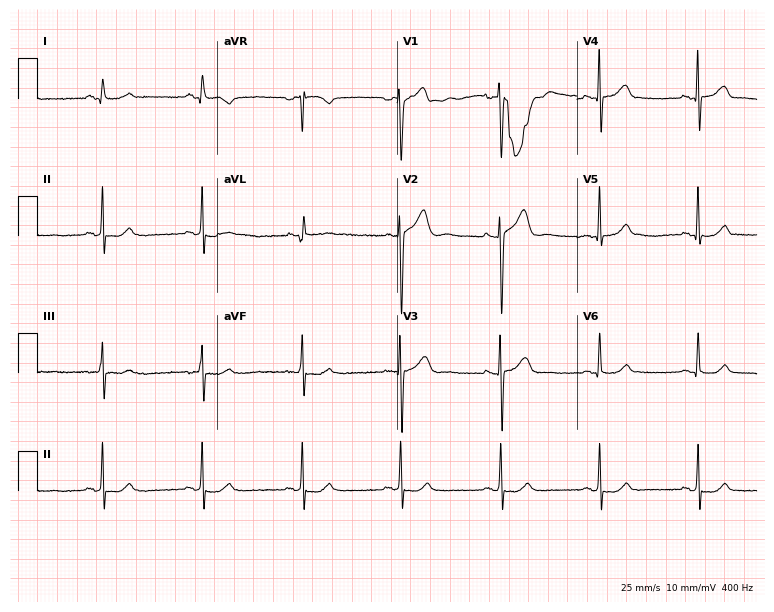
Standard 12-lead ECG recorded from a 53-year-old man. Read as a normal ECG.